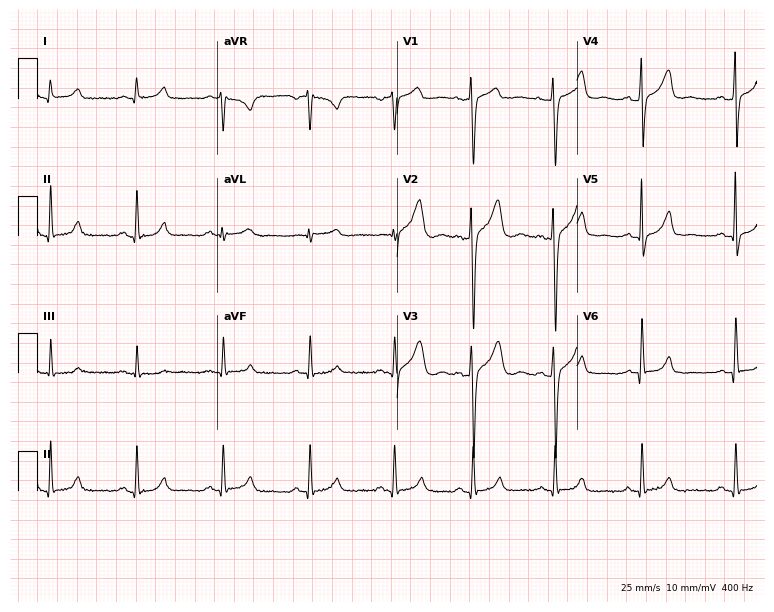
Resting 12-lead electrocardiogram (7.3-second recording at 400 Hz). Patient: a male, 39 years old. Read as a normal ECG.